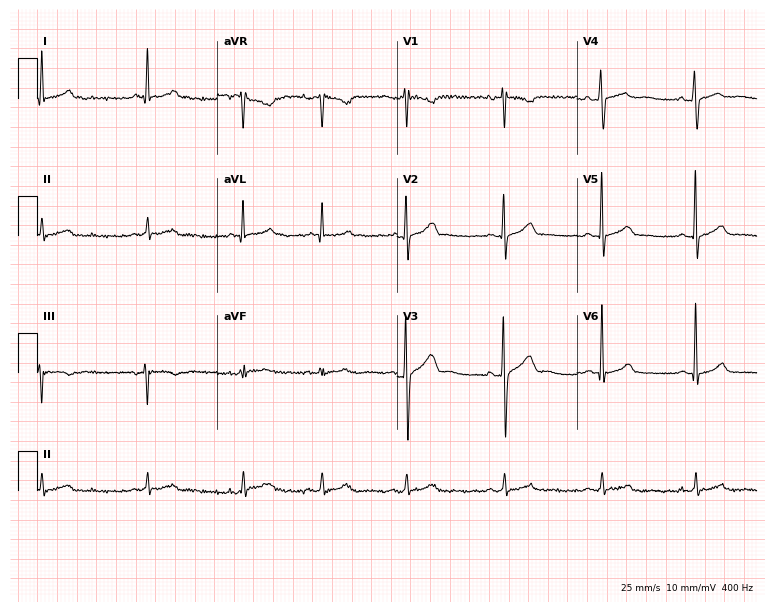
ECG (7.3-second recording at 400 Hz) — a 33-year-old male patient. Labelled as a normal ECG.